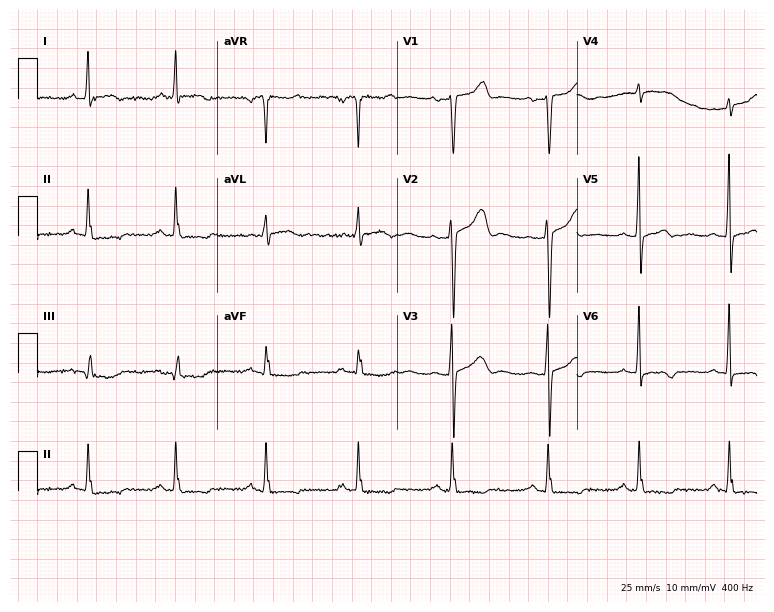
12-lead ECG (7.3-second recording at 400 Hz) from a 54-year-old woman. Screened for six findings — first-degree AV block, right bundle branch block, left bundle branch block, sinus bradycardia, atrial fibrillation, sinus tachycardia — none is recorded. Other findings, if any, are not listed.